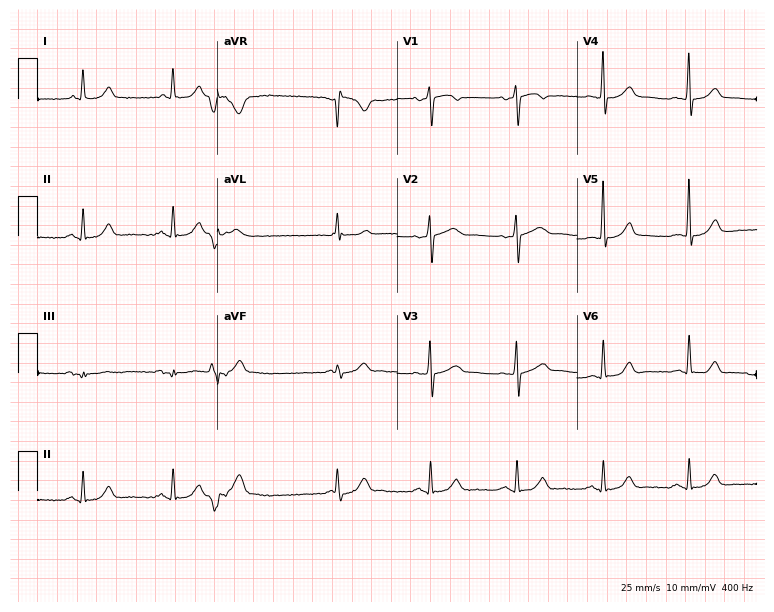
Electrocardiogram (7.3-second recording at 400 Hz), a 76-year-old male patient. Of the six screened findings (first-degree AV block, right bundle branch block, left bundle branch block, sinus bradycardia, atrial fibrillation, sinus tachycardia), none is recorded.